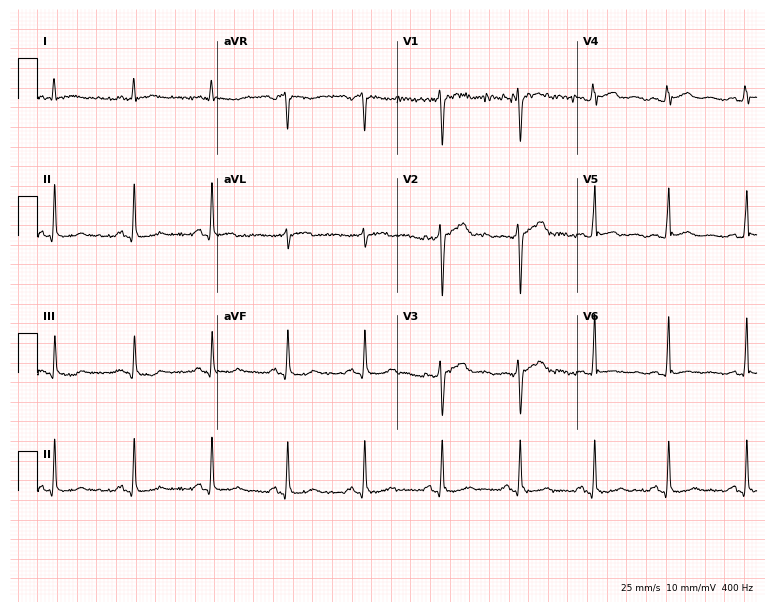
ECG (7.3-second recording at 400 Hz) — a 31-year-old male patient. Screened for six findings — first-degree AV block, right bundle branch block, left bundle branch block, sinus bradycardia, atrial fibrillation, sinus tachycardia — none is recorded.